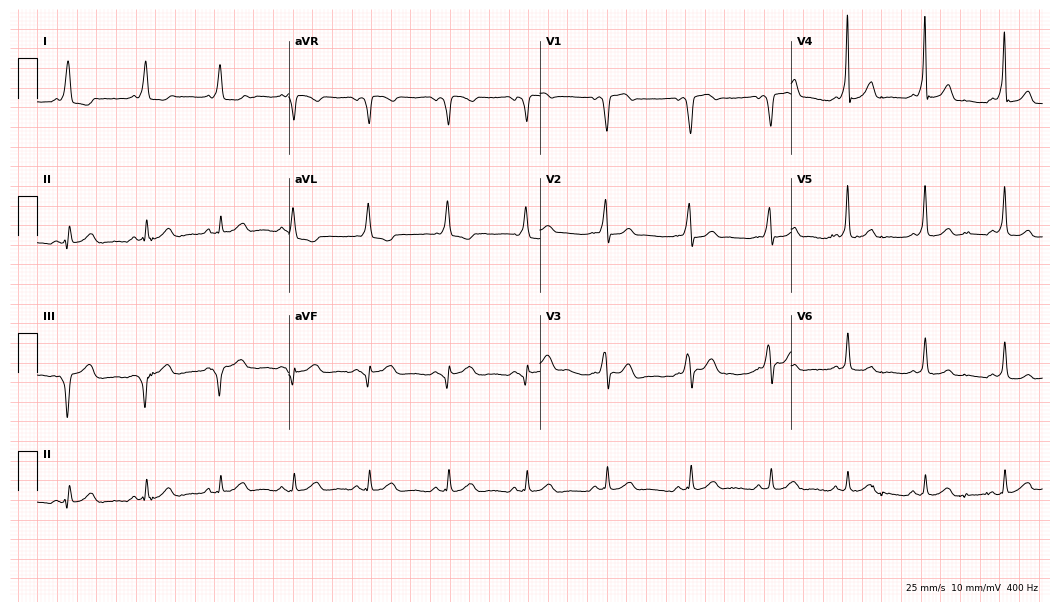
Standard 12-lead ECG recorded from a female, 23 years old. None of these six findings is recorded: first-degree AV block, right bundle branch block, left bundle branch block, sinus bradycardia, atrial fibrillation, sinus tachycardia. Findings outside these six are not listed.